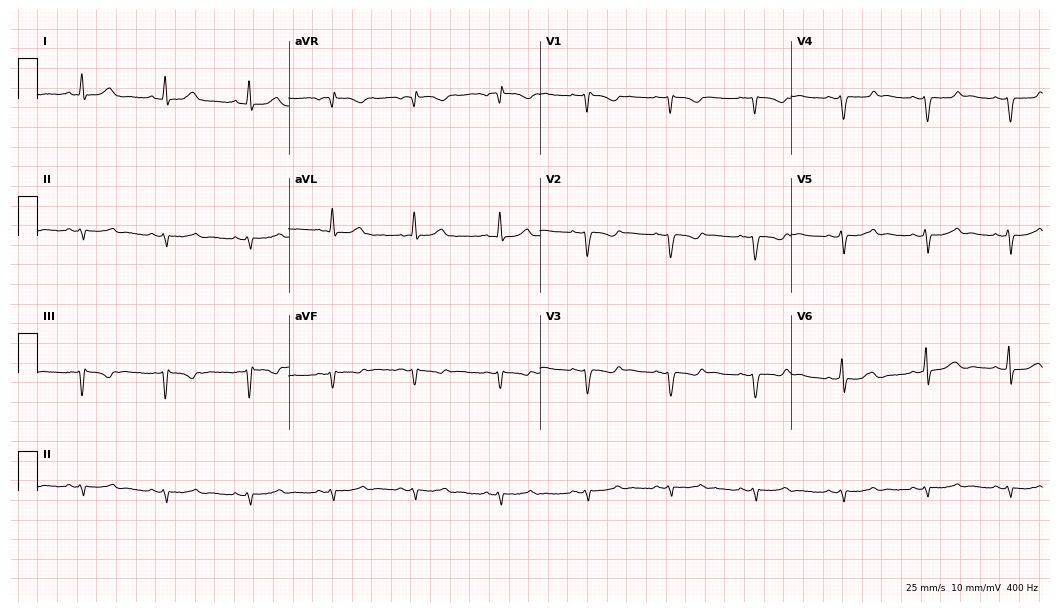
12-lead ECG from a female patient, 46 years old. No first-degree AV block, right bundle branch block (RBBB), left bundle branch block (LBBB), sinus bradycardia, atrial fibrillation (AF) or sinus tachycardia recorded for this tracing. Findings outside these six are not listed.